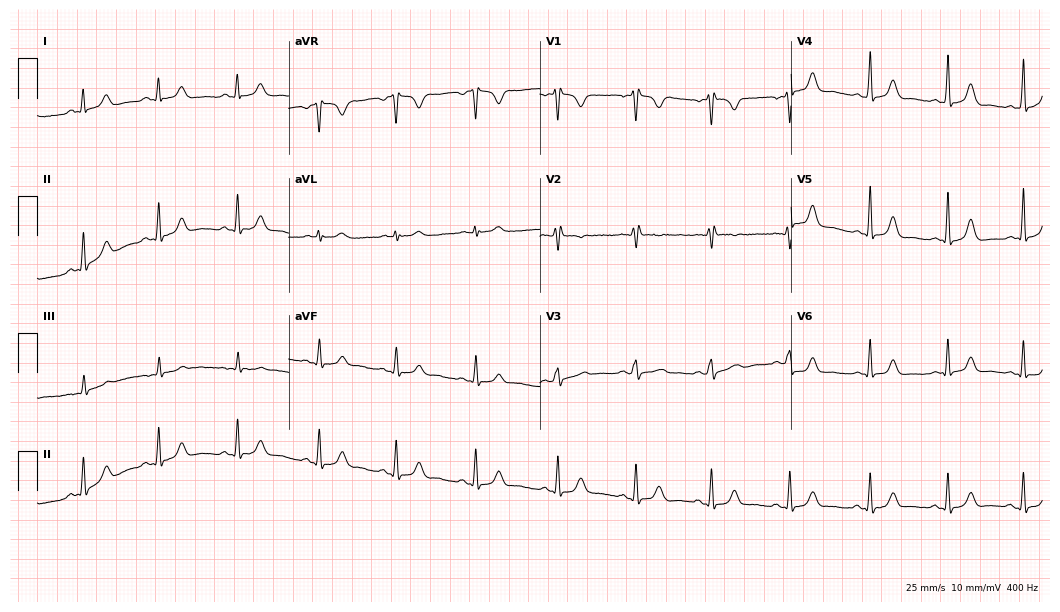
ECG (10.2-second recording at 400 Hz) — a female, 32 years old. Screened for six findings — first-degree AV block, right bundle branch block (RBBB), left bundle branch block (LBBB), sinus bradycardia, atrial fibrillation (AF), sinus tachycardia — none is recorded.